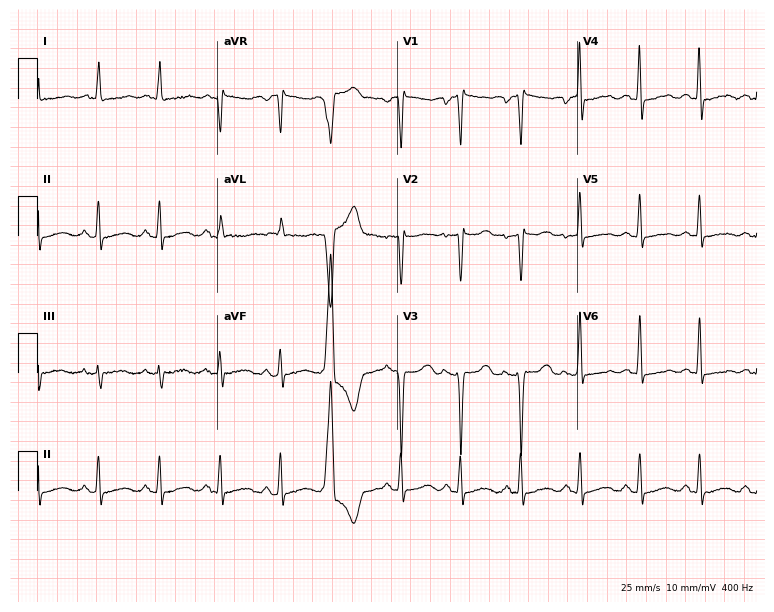
Electrocardiogram (7.3-second recording at 400 Hz), a female patient, 67 years old. Of the six screened findings (first-degree AV block, right bundle branch block (RBBB), left bundle branch block (LBBB), sinus bradycardia, atrial fibrillation (AF), sinus tachycardia), none is recorded.